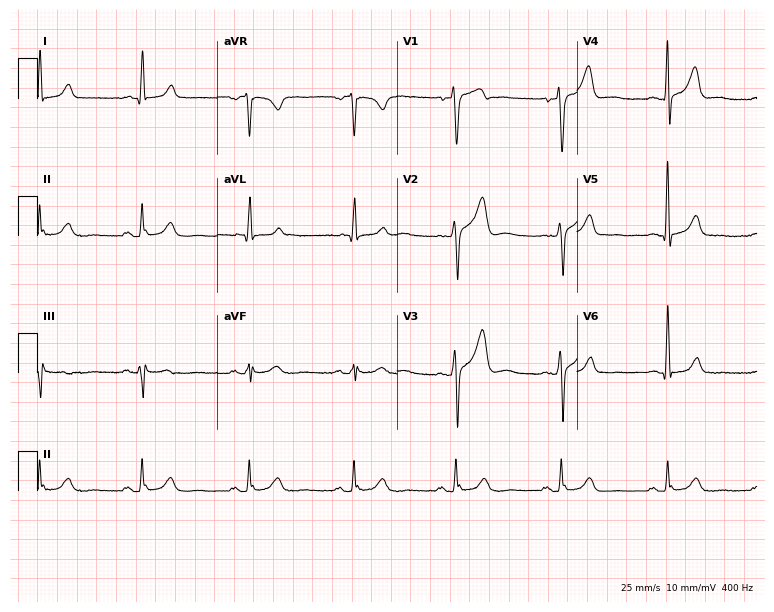
12-lead ECG from a 53-year-old male patient. Recorded interpretation: within normal limits.